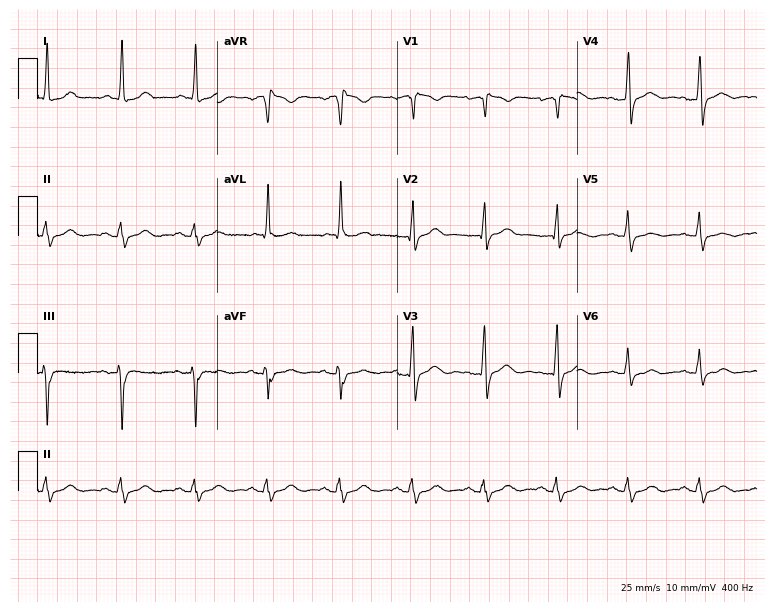
Standard 12-lead ECG recorded from a male patient, 42 years old (7.3-second recording at 400 Hz). None of these six findings is recorded: first-degree AV block, right bundle branch block, left bundle branch block, sinus bradycardia, atrial fibrillation, sinus tachycardia. Only these six findings were labelled.